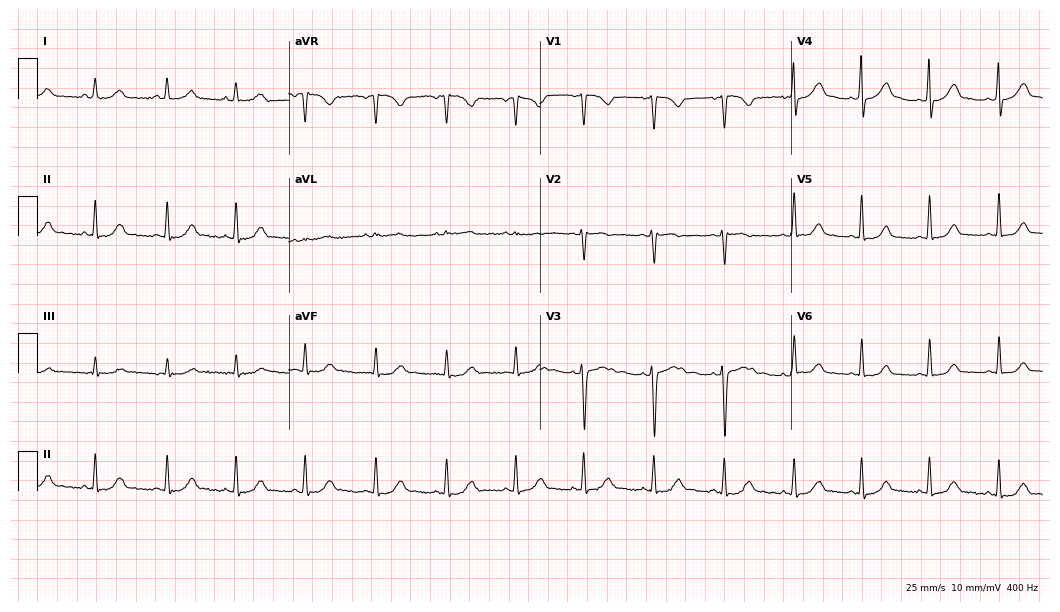
Standard 12-lead ECG recorded from a female patient, 29 years old (10.2-second recording at 400 Hz). Read as a normal ECG.